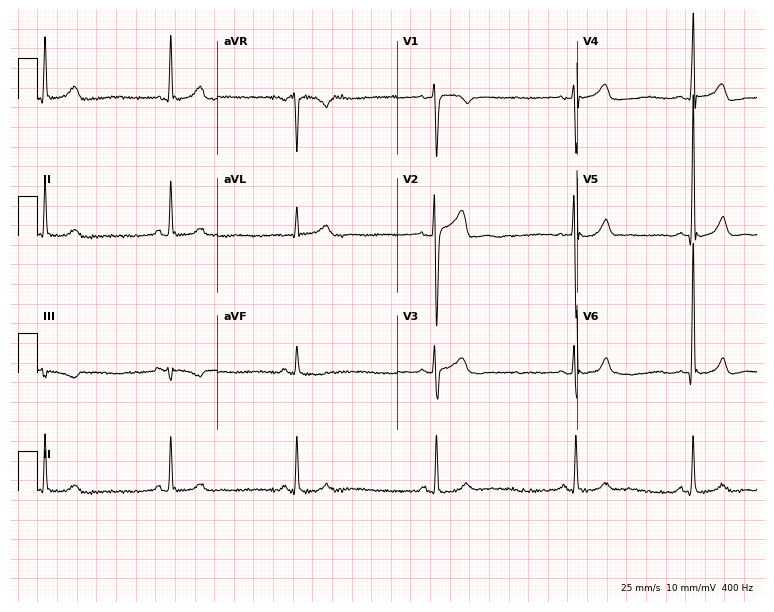
12-lead ECG from a 31-year-old man (7.3-second recording at 400 Hz). No first-degree AV block, right bundle branch block, left bundle branch block, sinus bradycardia, atrial fibrillation or sinus tachycardia recorded for this tracing.